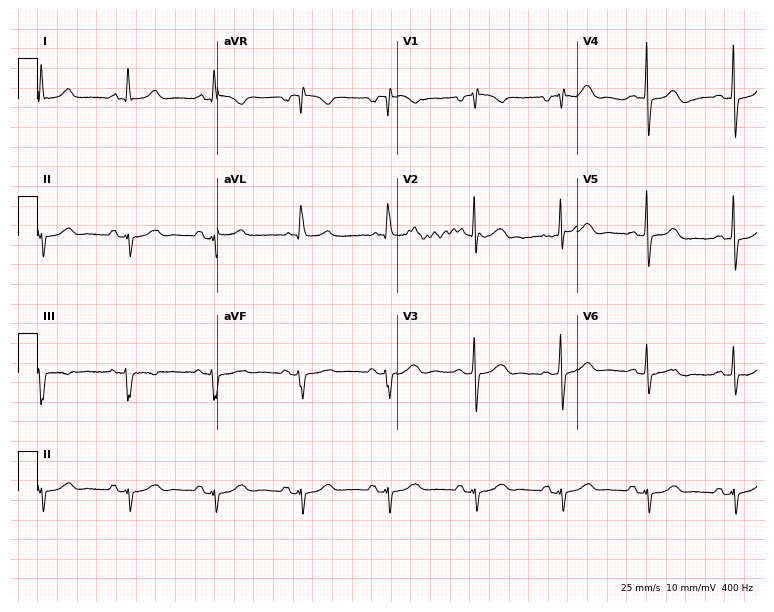
12-lead ECG (7.3-second recording at 400 Hz) from a female, 69 years old. Screened for six findings — first-degree AV block, right bundle branch block, left bundle branch block, sinus bradycardia, atrial fibrillation, sinus tachycardia — none is recorded.